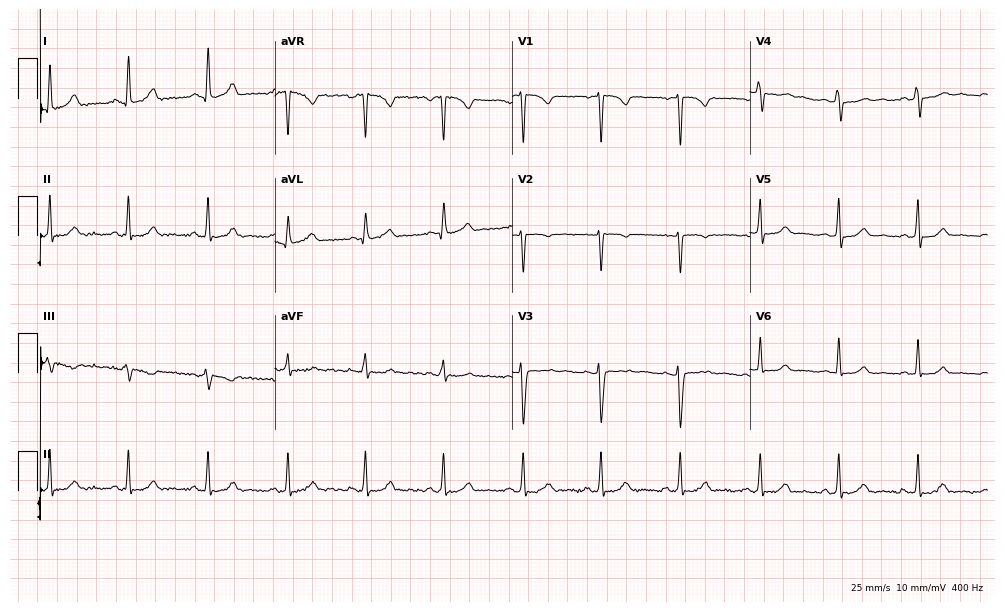
Electrocardiogram, a 22-year-old female patient. Of the six screened findings (first-degree AV block, right bundle branch block, left bundle branch block, sinus bradycardia, atrial fibrillation, sinus tachycardia), none is recorded. Findings outside these six are not listed.